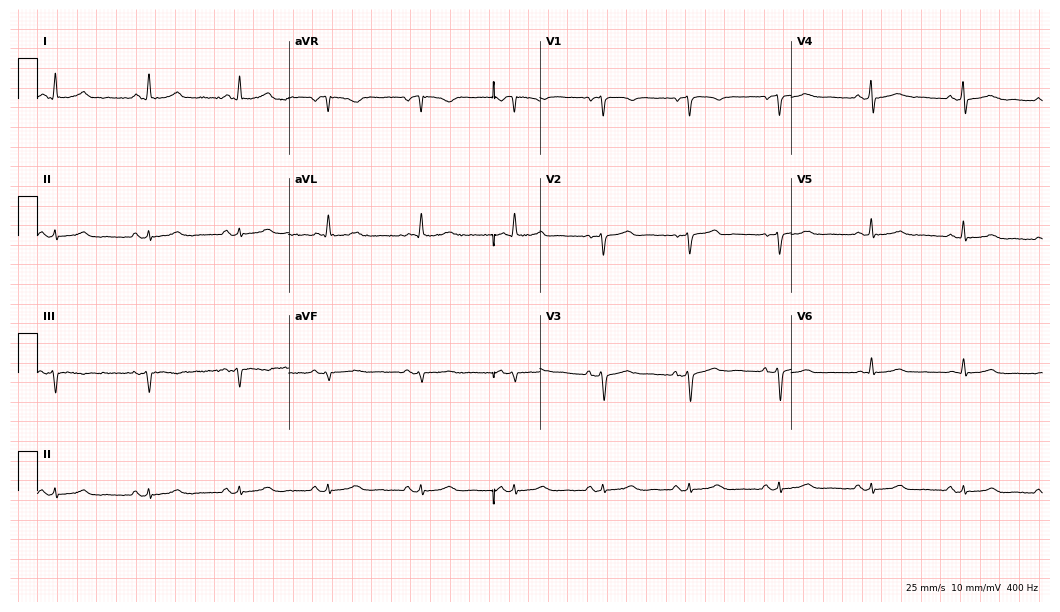
12-lead ECG from a 58-year-old female patient. Screened for six findings — first-degree AV block, right bundle branch block, left bundle branch block, sinus bradycardia, atrial fibrillation, sinus tachycardia — none is recorded.